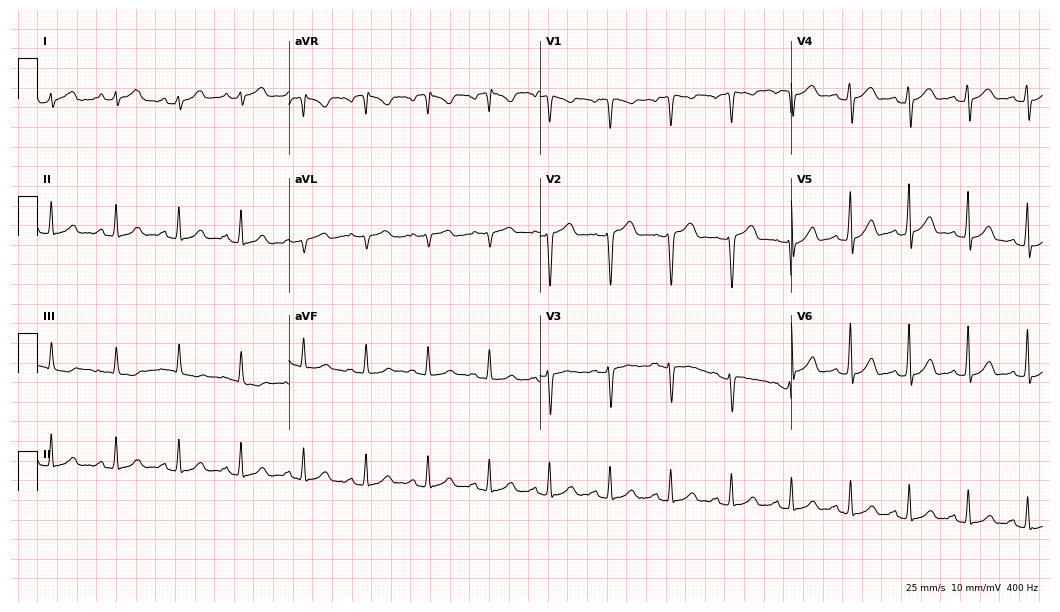
Resting 12-lead electrocardiogram (10.2-second recording at 400 Hz). Patient: a woman, 20 years old. None of these six findings is recorded: first-degree AV block, right bundle branch block (RBBB), left bundle branch block (LBBB), sinus bradycardia, atrial fibrillation (AF), sinus tachycardia. Findings outside these six are not listed.